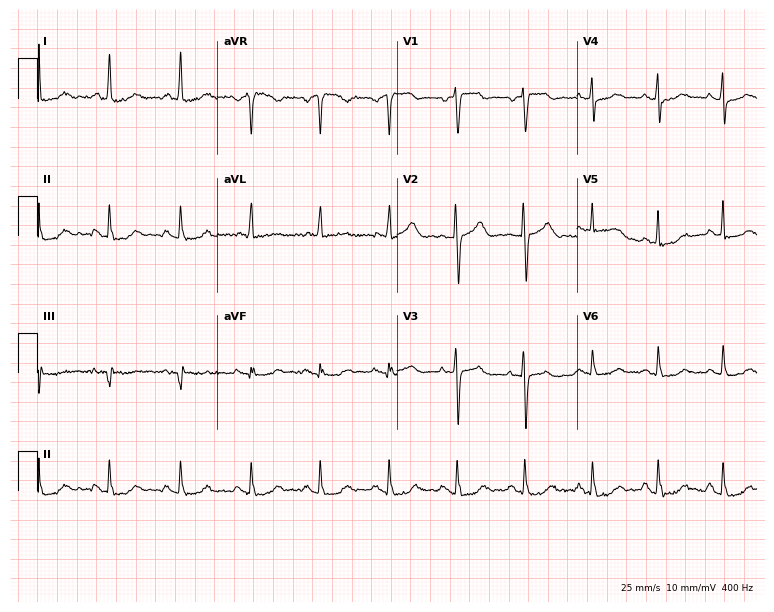
12-lead ECG (7.3-second recording at 400 Hz) from a woman, 67 years old. Screened for six findings — first-degree AV block, right bundle branch block, left bundle branch block, sinus bradycardia, atrial fibrillation, sinus tachycardia — none is recorded.